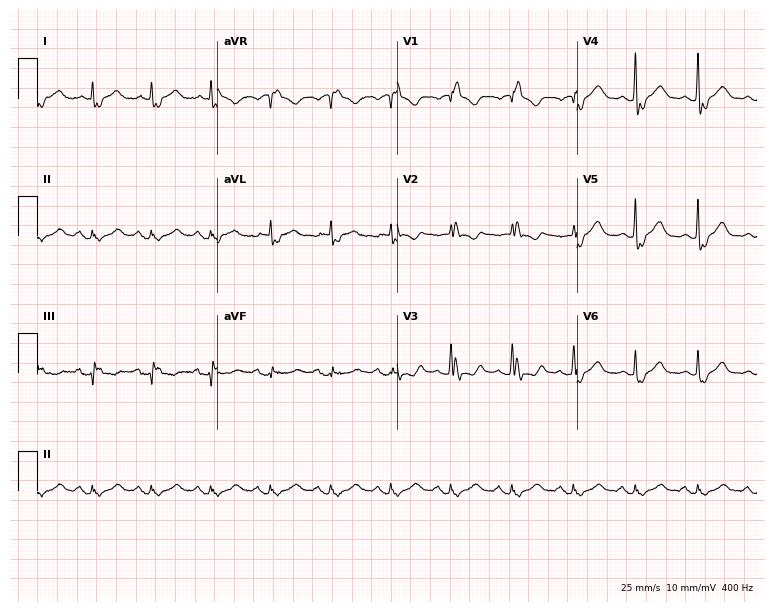
Electrocardiogram, a man, 67 years old. Interpretation includes right bundle branch block (RBBB).